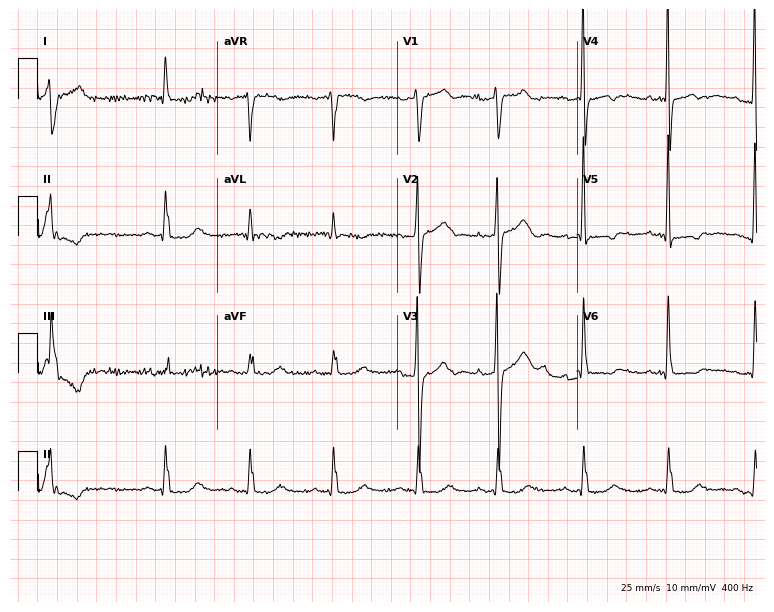
ECG (7.3-second recording at 400 Hz) — a male, 76 years old. Screened for six findings — first-degree AV block, right bundle branch block, left bundle branch block, sinus bradycardia, atrial fibrillation, sinus tachycardia — none is recorded.